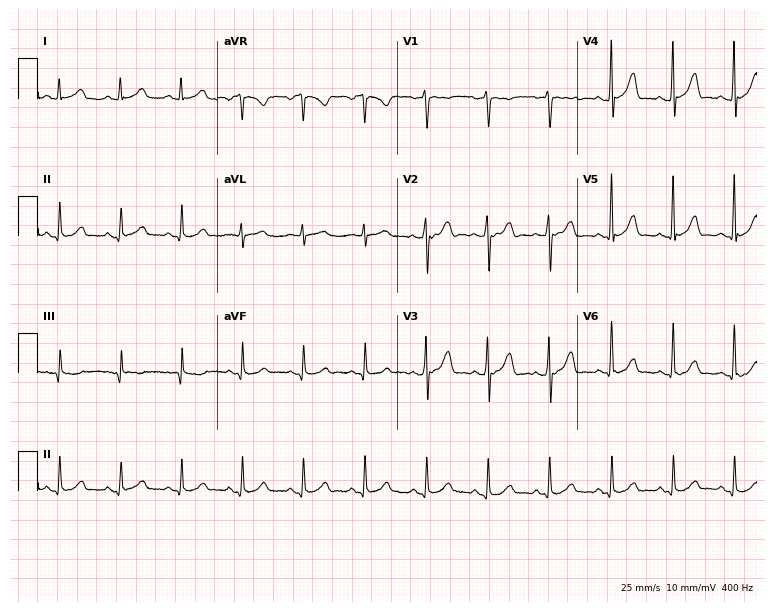
Standard 12-lead ECG recorded from a 46-year-old female patient (7.3-second recording at 400 Hz). None of these six findings is recorded: first-degree AV block, right bundle branch block (RBBB), left bundle branch block (LBBB), sinus bradycardia, atrial fibrillation (AF), sinus tachycardia. Other findings, if any, are not listed.